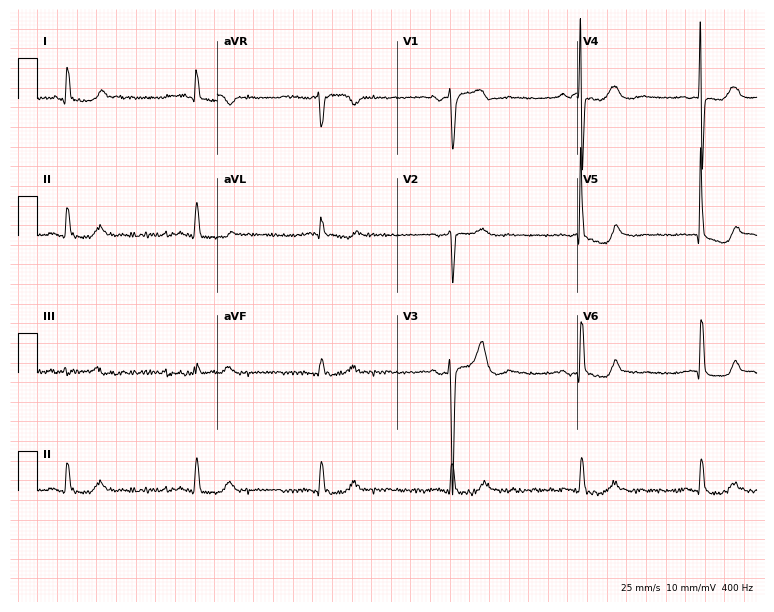
Standard 12-lead ECG recorded from a male patient, 74 years old (7.3-second recording at 400 Hz). The tracing shows first-degree AV block, right bundle branch block (RBBB).